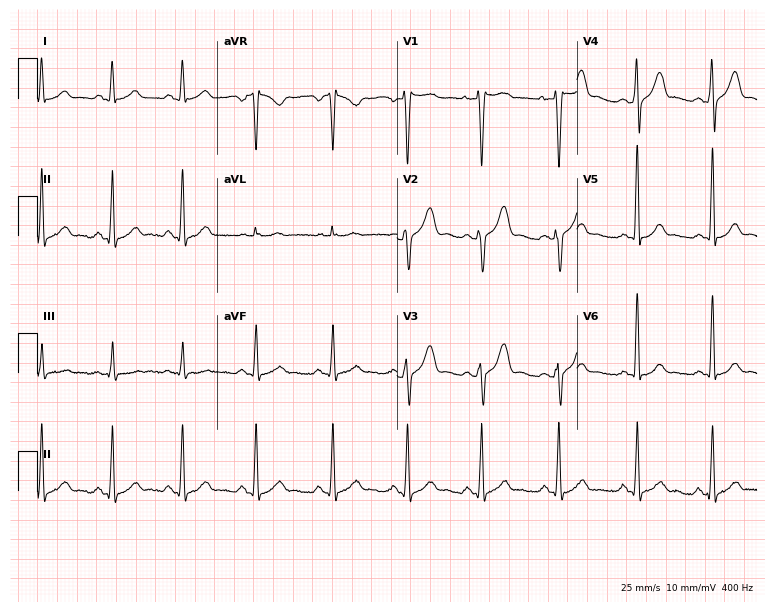
Standard 12-lead ECG recorded from a male patient, 31 years old (7.3-second recording at 400 Hz). Read as a normal ECG.